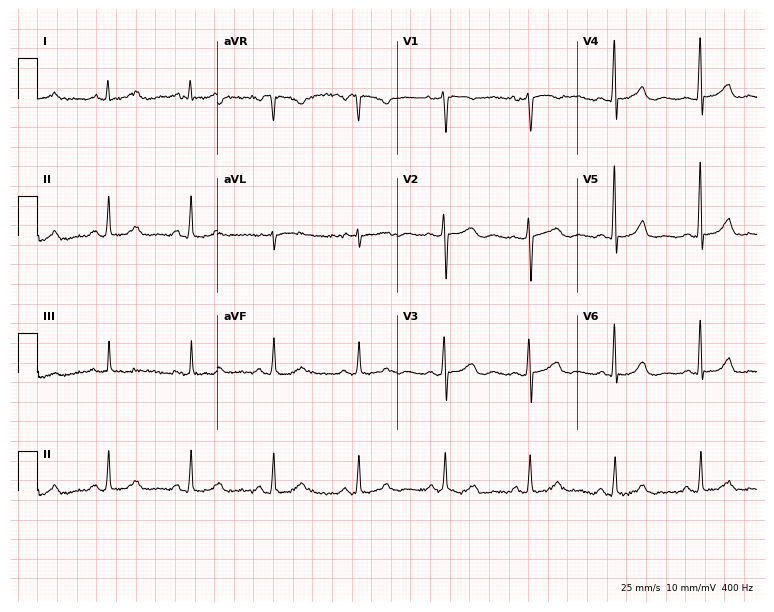
Electrocardiogram, a female patient, 55 years old. Overall reading on record: normal ECG.